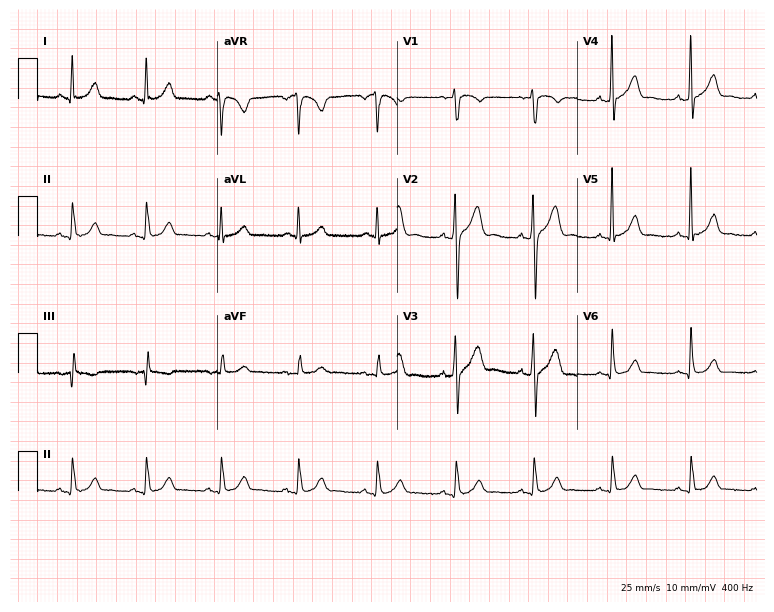
12-lead ECG from a 41-year-old male patient (7.3-second recording at 400 Hz). Recorded interpretation: within normal limits.